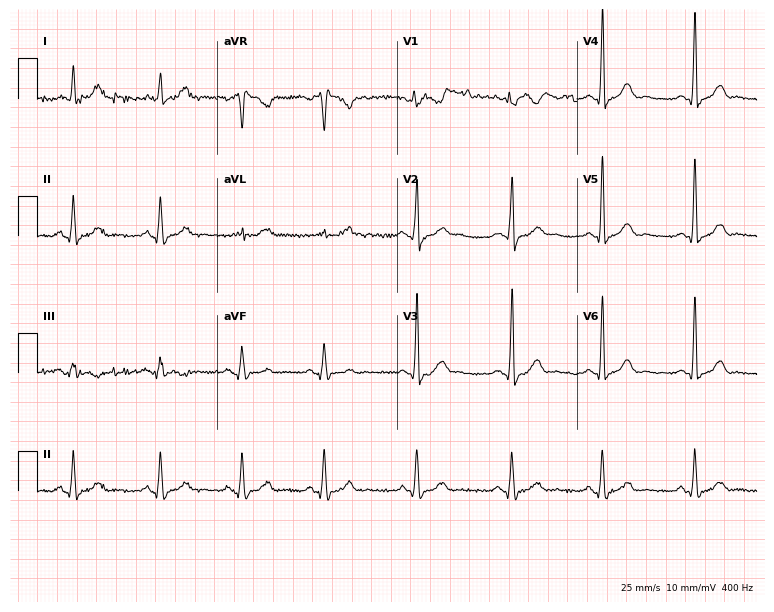
ECG (7.3-second recording at 400 Hz) — a 44-year-old man. Screened for six findings — first-degree AV block, right bundle branch block, left bundle branch block, sinus bradycardia, atrial fibrillation, sinus tachycardia — none is recorded. Only these six findings were labelled.